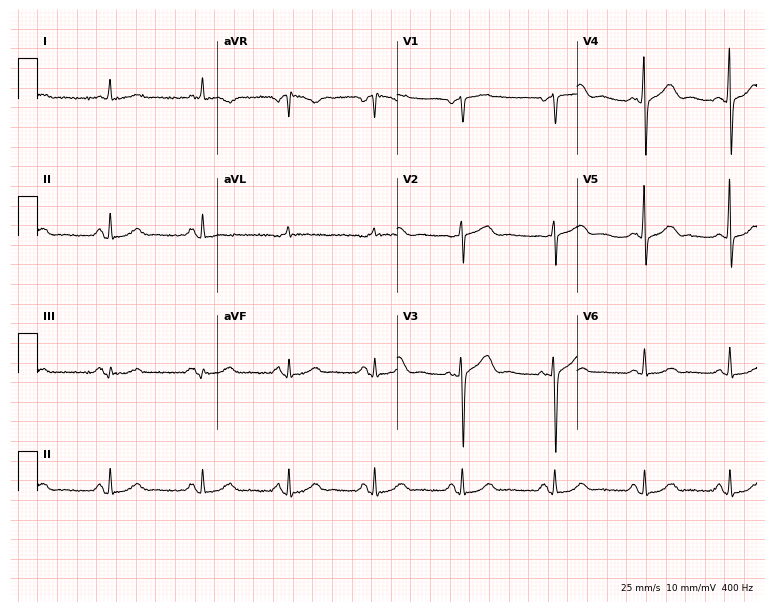
Standard 12-lead ECG recorded from a 67-year-old woman. Read as a normal ECG.